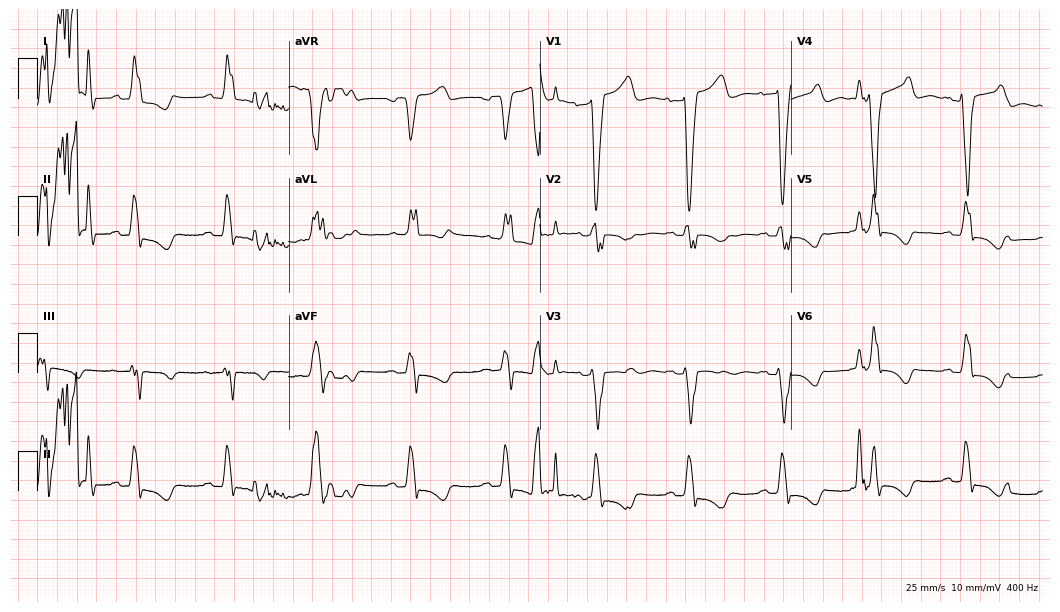
ECG — a female patient, 68 years old. Findings include left bundle branch block.